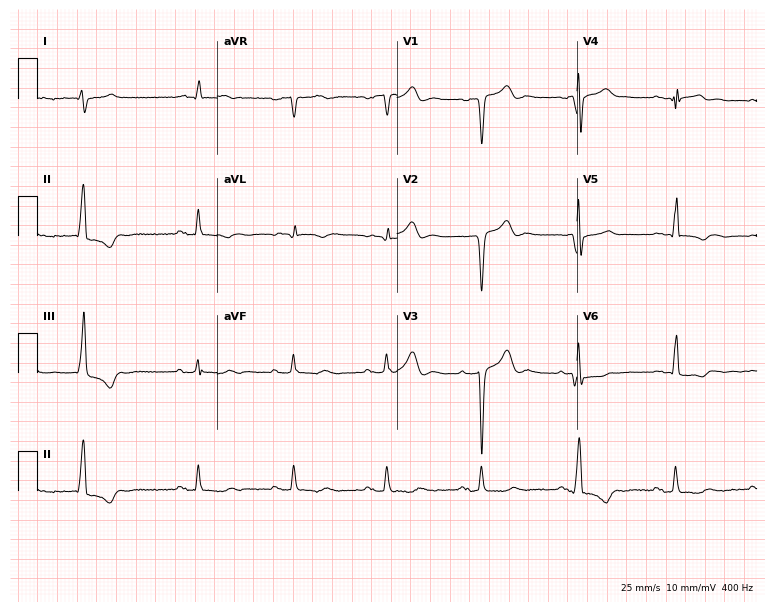
Electrocardiogram (7.3-second recording at 400 Hz), a man, 72 years old. Of the six screened findings (first-degree AV block, right bundle branch block (RBBB), left bundle branch block (LBBB), sinus bradycardia, atrial fibrillation (AF), sinus tachycardia), none is recorded.